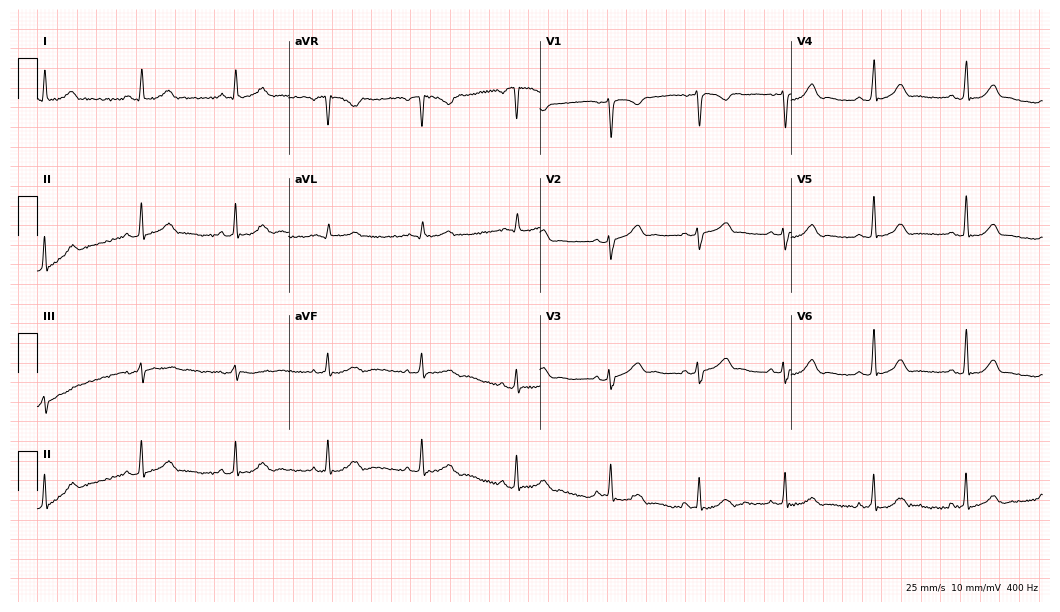
Standard 12-lead ECG recorded from a 38-year-old woman. None of these six findings is recorded: first-degree AV block, right bundle branch block (RBBB), left bundle branch block (LBBB), sinus bradycardia, atrial fibrillation (AF), sinus tachycardia.